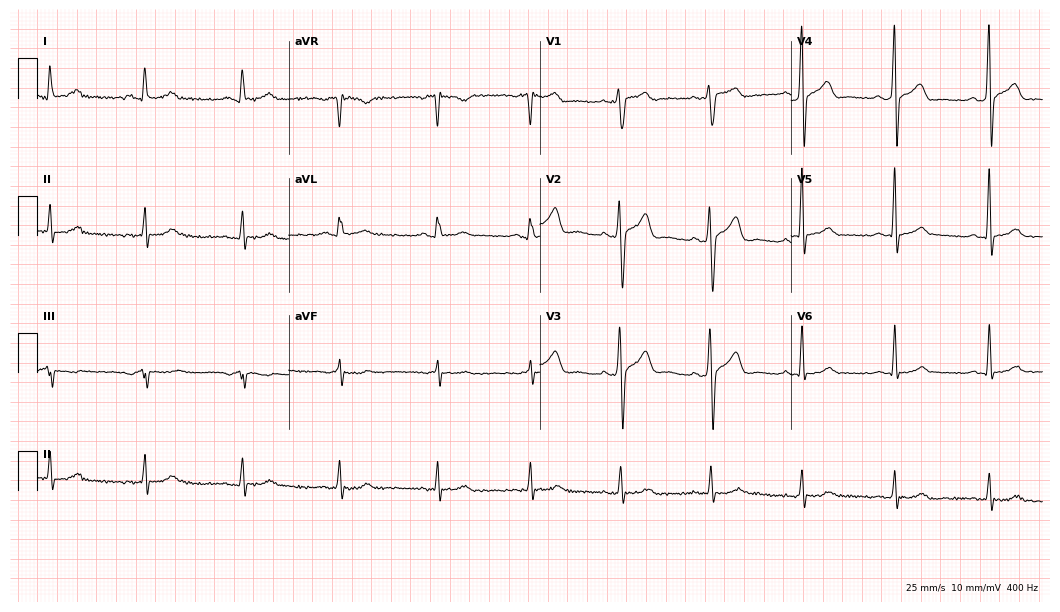
12-lead ECG (10.2-second recording at 400 Hz) from a 53-year-old male. Labelled as a normal ECG.